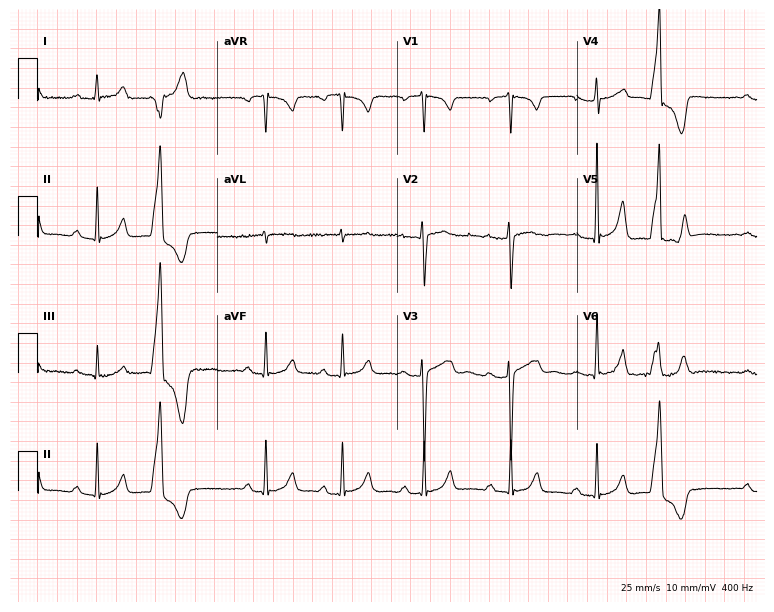
Electrocardiogram, a 29-year-old female patient. Of the six screened findings (first-degree AV block, right bundle branch block (RBBB), left bundle branch block (LBBB), sinus bradycardia, atrial fibrillation (AF), sinus tachycardia), none is recorded.